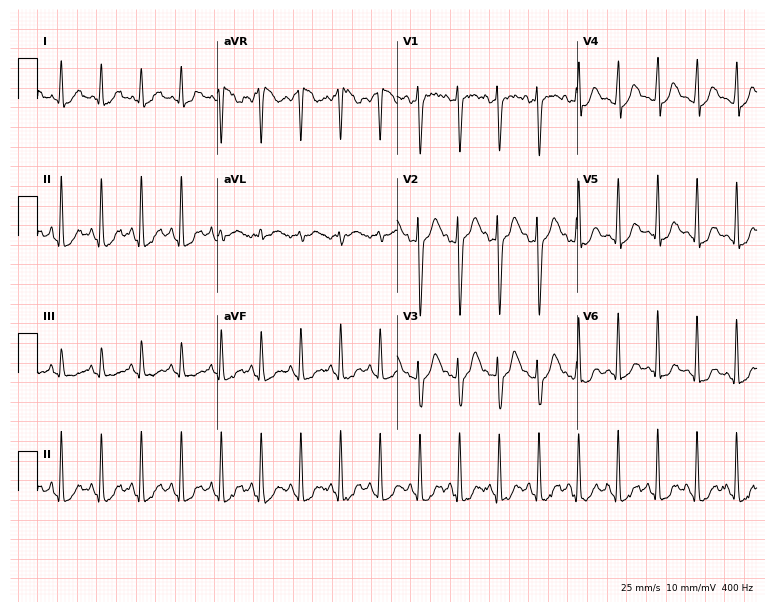
Electrocardiogram, a 24-year-old woman. Interpretation includes sinus tachycardia (a sinus rate of 100 beats per minute or more).